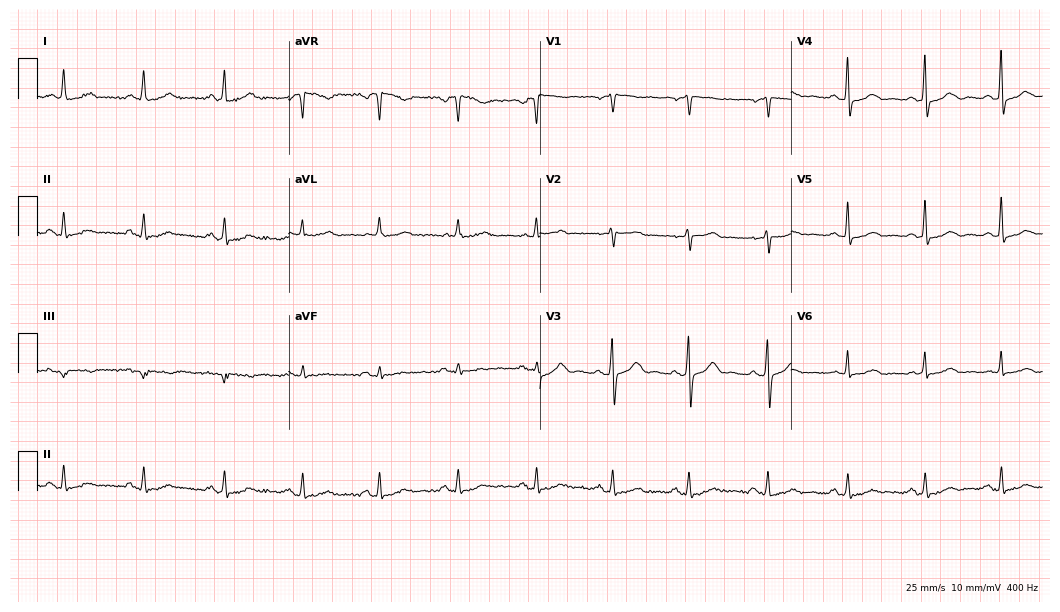
12-lead ECG from a woman, 52 years old. No first-degree AV block, right bundle branch block, left bundle branch block, sinus bradycardia, atrial fibrillation or sinus tachycardia recorded for this tracing.